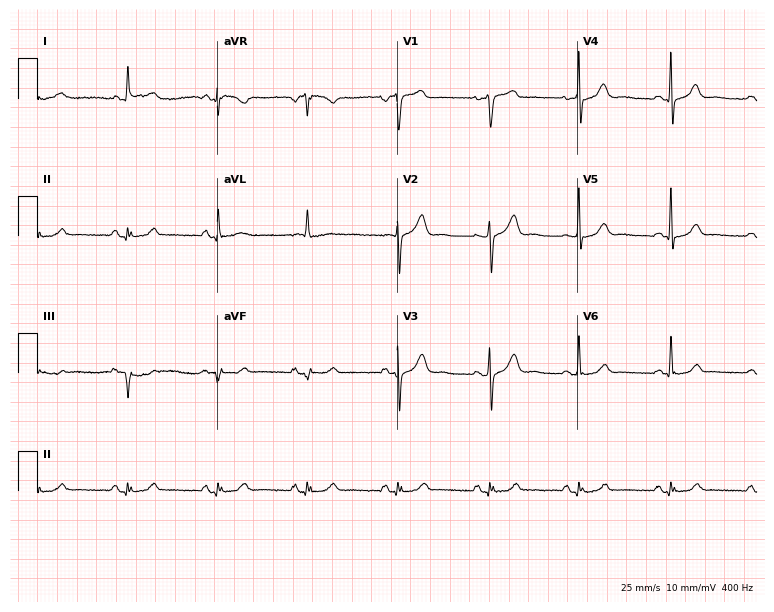
Resting 12-lead electrocardiogram. Patient: an 80-year-old woman. None of these six findings is recorded: first-degree AV block, right bundle branch block, left bundle branch block, sinus bradycardia, atrial fibrillation, sinus tachycardia. Only these six findings were labelled.